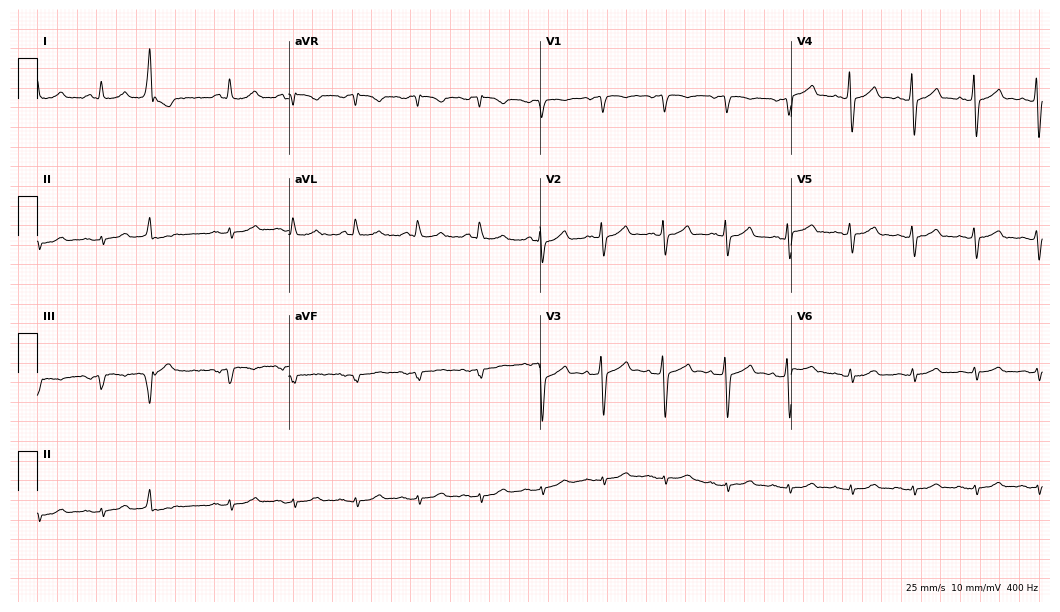
Resting 12-lead electrocardiogram (10.2-second recording at 400 Hz). Patient: a male, 68 years old. None of these six findings is recorded: first-degree AV block, right bundle branch block, left bundle branch block, sinus bradycardia, atrial fibrillation, sinus tachycardia. Other findings, if any, are not listed.